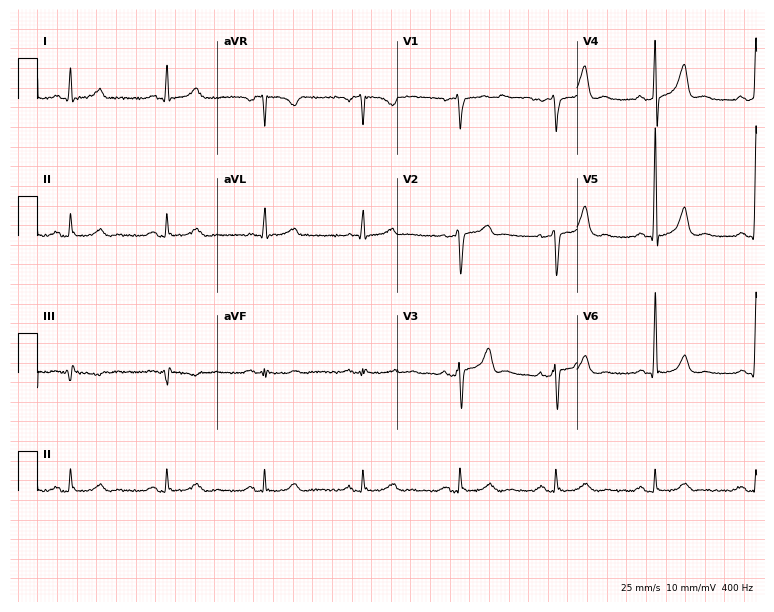
Resting 12-lead electrocardiogram. Patient: a man, 57 years old. Read as a normal ECG.